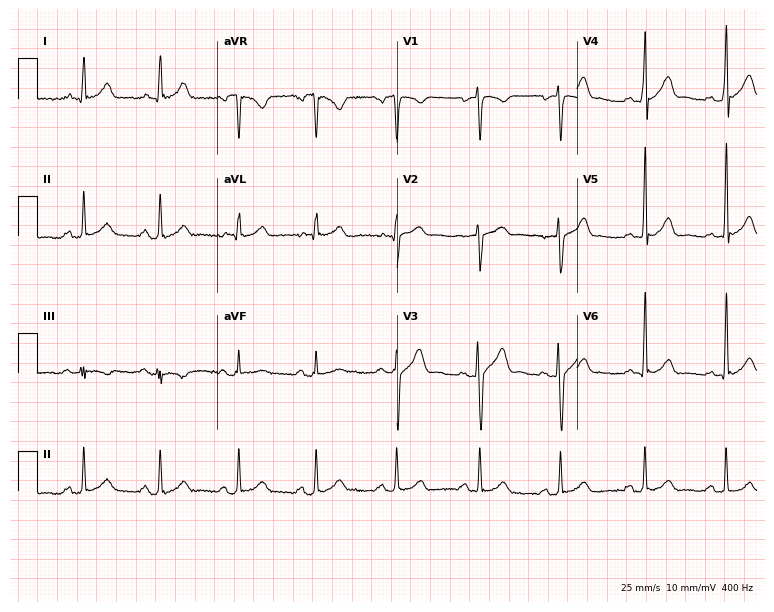
Electrocardiogram (7.3-second recording at 400 Hz), a man, 26 years old. Overall reading on record: normal ECG.